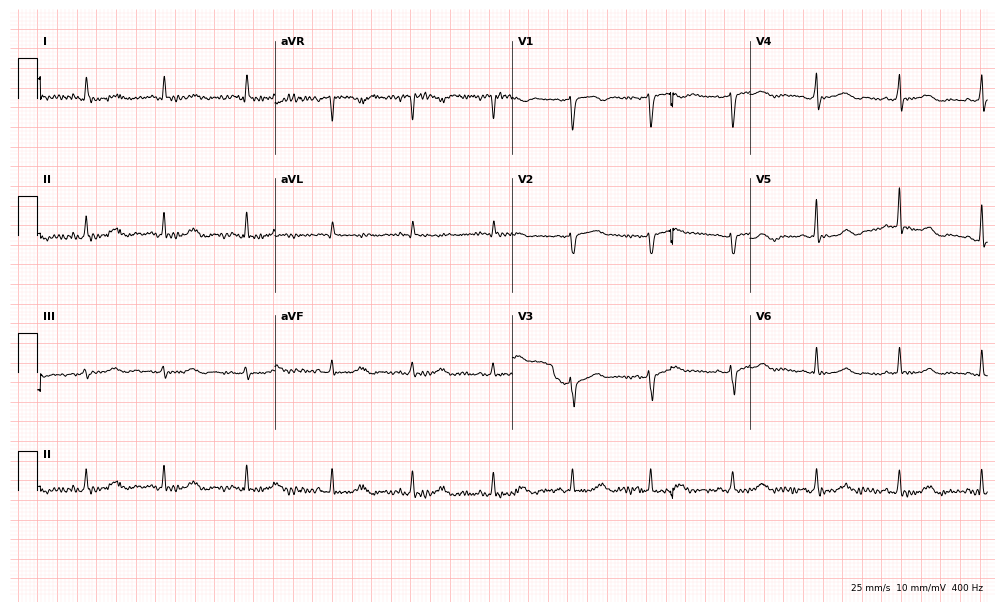
Electrocardiogram (9.7-second recording at 400 Hz), a 52-year-old woman. Overall reading on record: normal ECG.